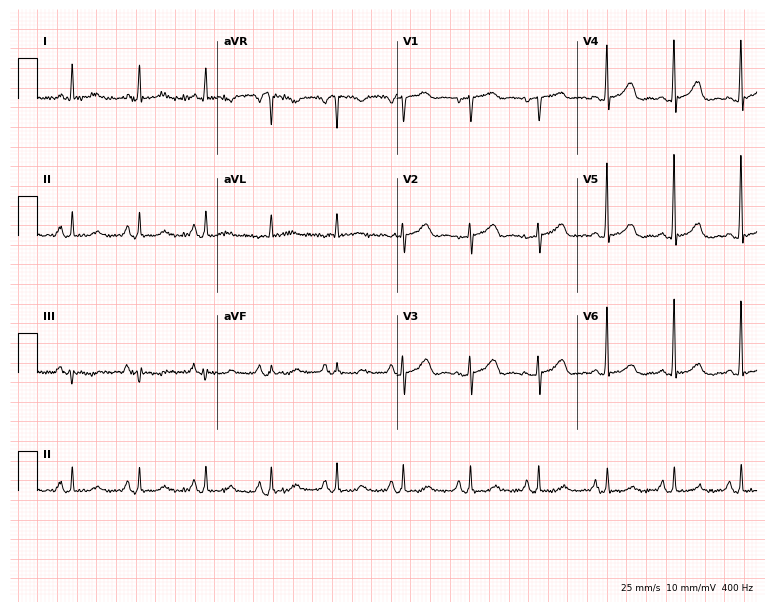
Electrocardiogram (7.3-second recording at 400 Hz), a 79-year-old woman. Overall reading on record: normal ECG.